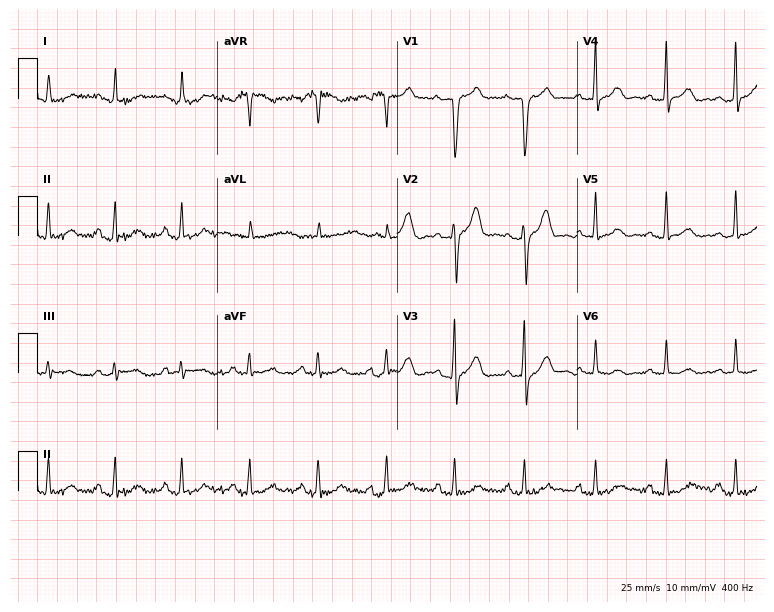
12-lead ECG (7.3-second recording at 400 Hz) from a male, 66 years old. Screened for six findings — first-degree AV block, right bundle branch block, left bundle branch block, sinus bradycardia, atrial fibrillation, sinus tachycardia — none is recorded.